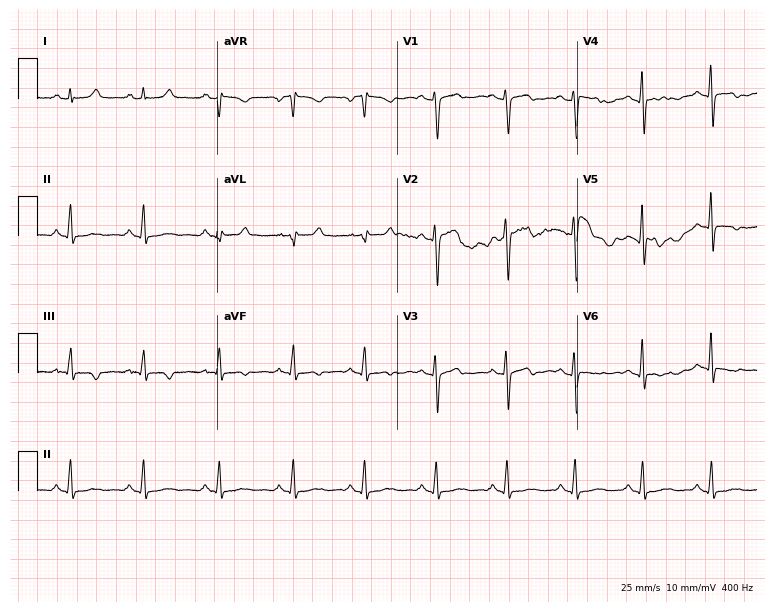
12-lead ECG from a female, 26 years old. Screened for six findings — first-degree AV block, right bundle branch block, left bundle branch block, sinus bradycardia, atrial fibrillation, sinus tachycardia — none is recorded.